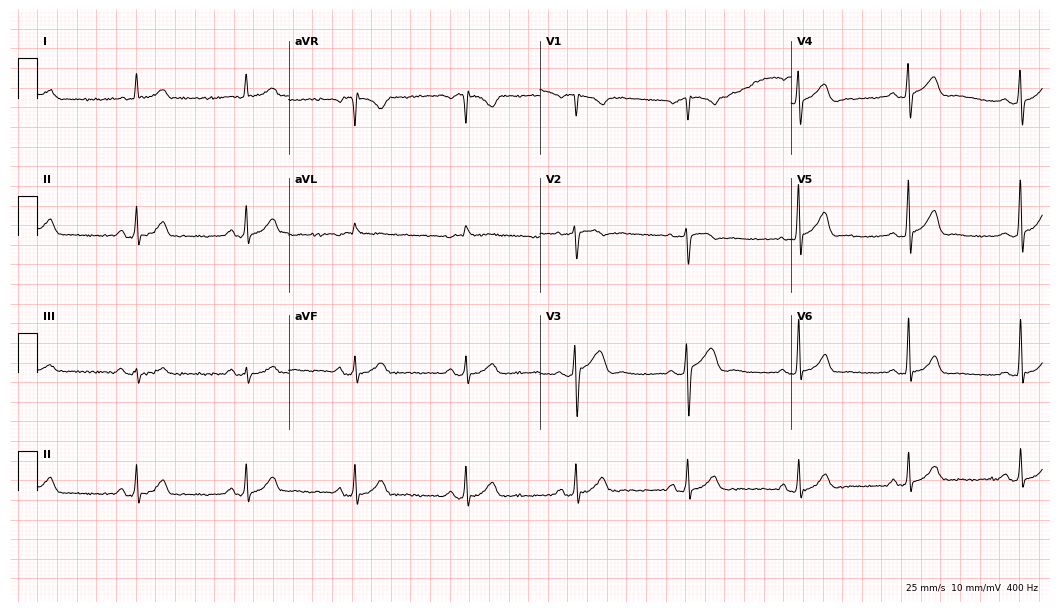
Resting 12-lead electrocardiogram (10.2-second recording at 400 Hz). Patient: a male, 77 years old. Read as a normal ECG.